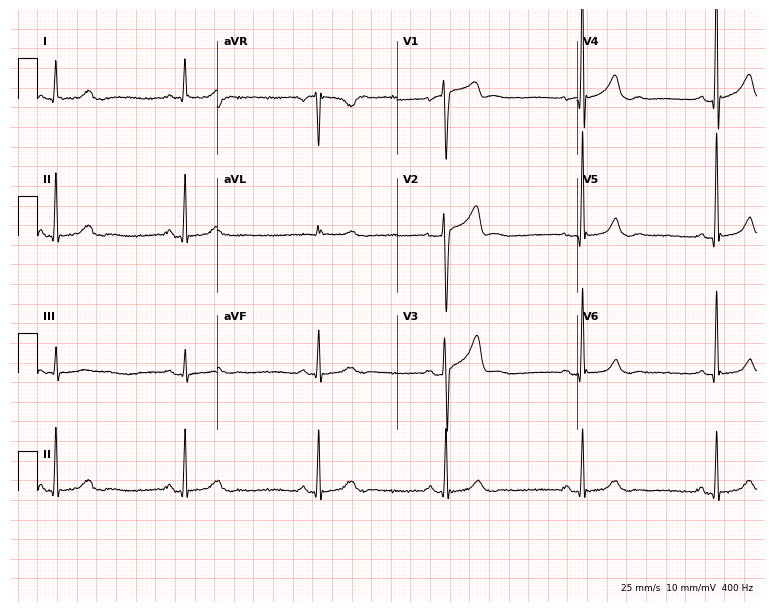
ECG (7.3-second recording at 400 Hz) — a 63-year-old male. Findings include sinus bradycardia (a sinus rate of 50 beats per minute or less).